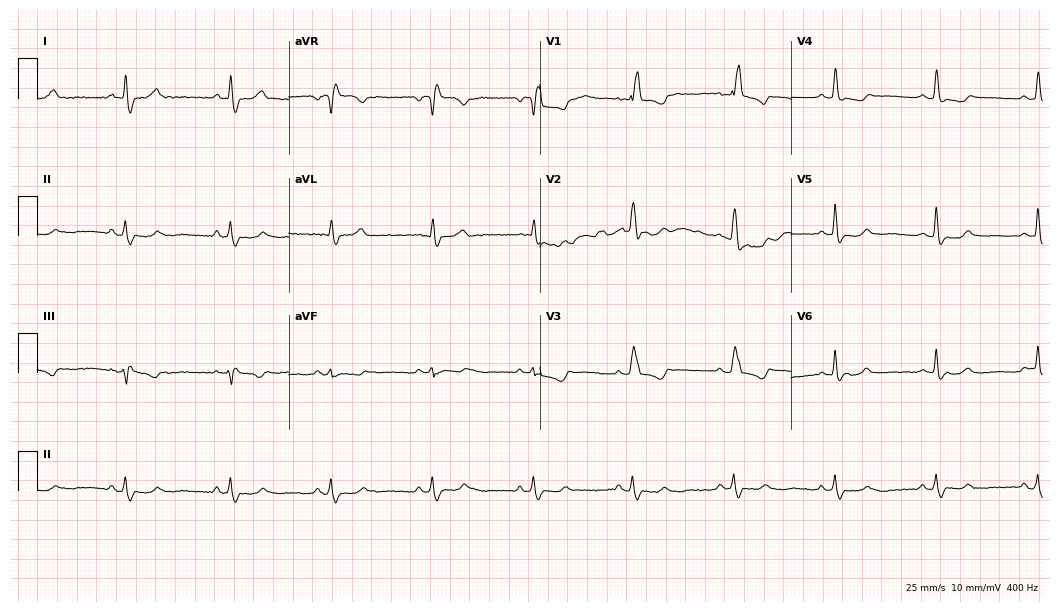
12-lead ECG (10.2-second recording at 400 Hz) from a 56-year-old woman. Findings include right bundle branch block.